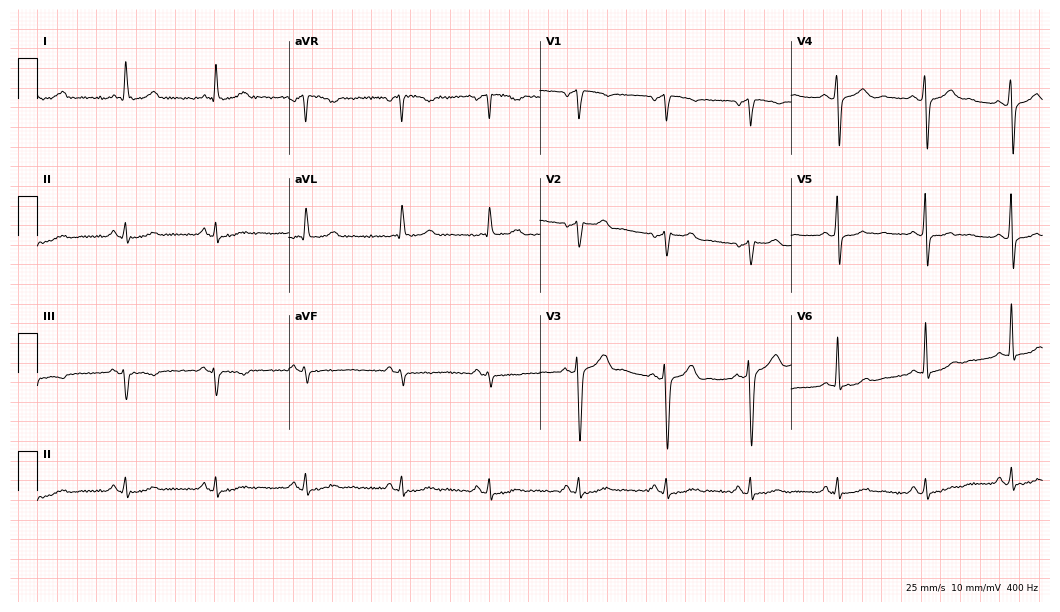
ECG — a 48-year-old male patient. Screened for six findings — first-degree AV block, right bundle branch block, left bundle branch block, sinus bradycardia, atrial fibrillation, sinus tachycardia — none is recorded.